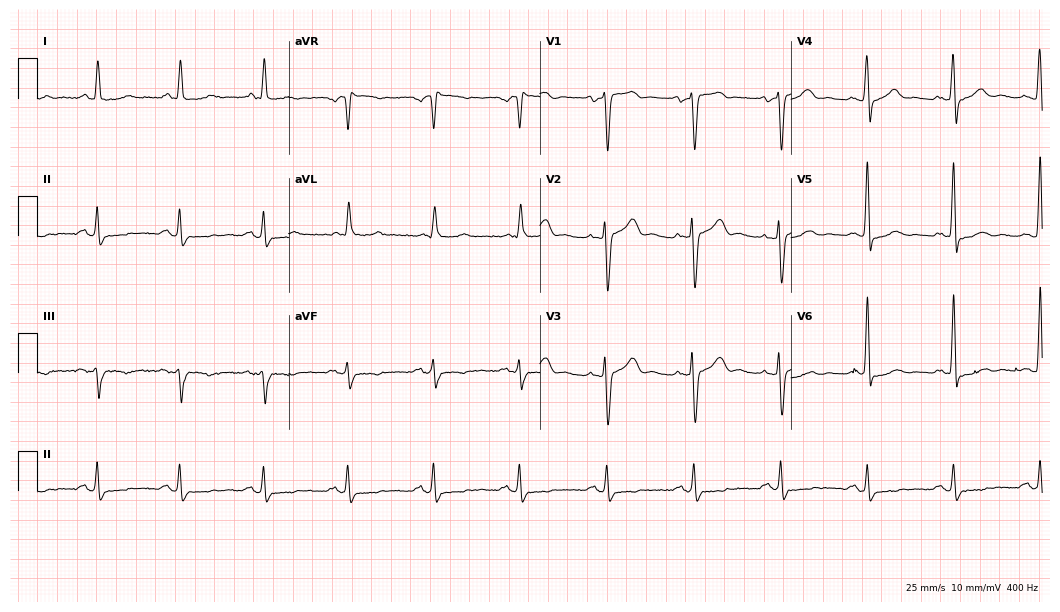
12-lead ECG from a male patient, 74 years old (10.2-second recording at 400 Hz). No first-degree AV block, right bundle branch block (RBBB), left bundle branch block (LBBB), sinus bradycardia, atrial fibrillation (AF) or sinus tachycardia recorded for this tracing.